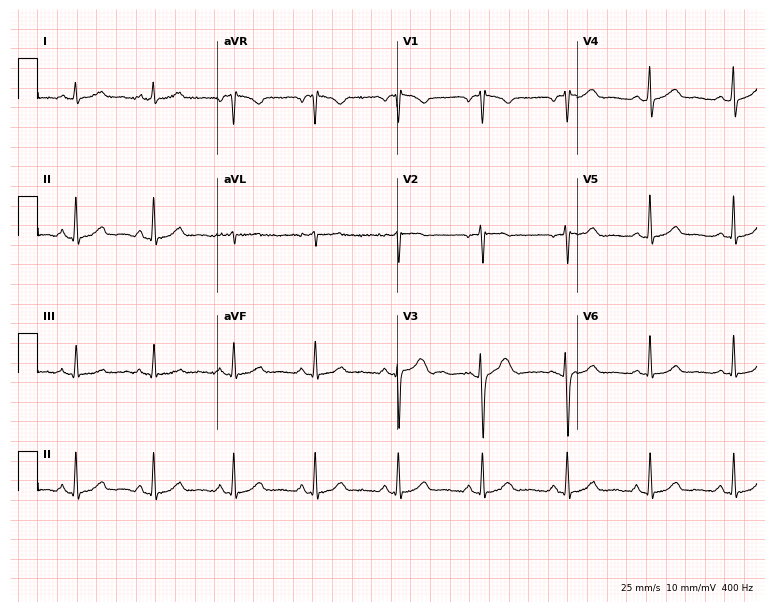
Resting 12-lead electrocardiogram. Patient: a woman, 48 years old. None of these six findings is recorded: first-degree AV block, right bundle branch block (RBBB), left bundle branch block (LBBB), sinus bradycardia, atrial fibrillation (AF), sinus tachycardia.